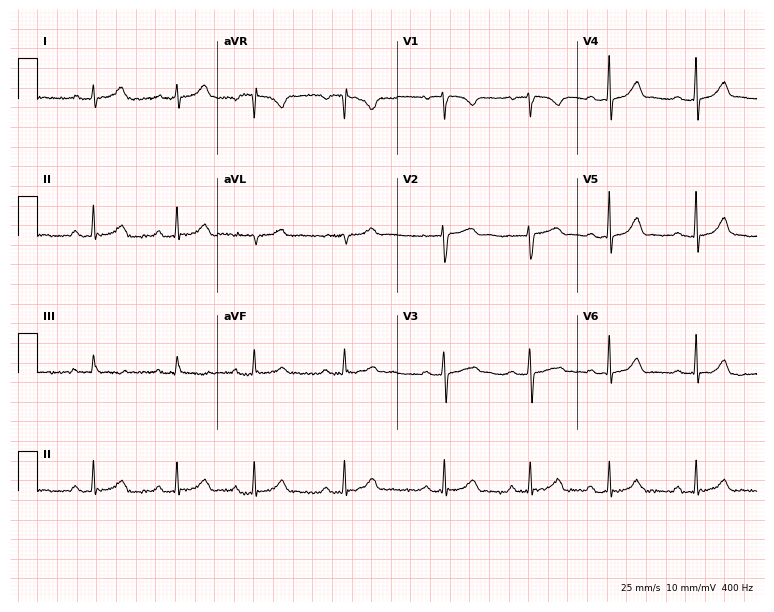
Resting 12-lead electrocardiogram. Patient: a female, 22 years old. None of these six findings is recorded: first-degree AV block, right bundle branch block, left bundle branch block, sinus bradycardia, atrial fibrillation, sinus tachycardia.